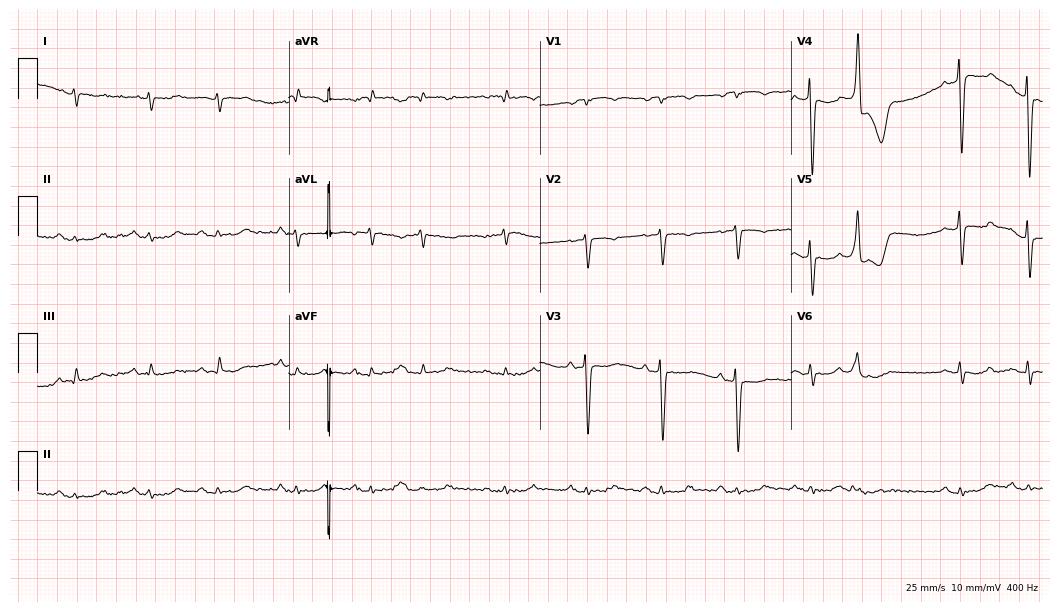
Resting 12-lead electrocardiogram. Patient: a female, 82 years old. None of these six findings is recorded: first-degree AV block, right bundle branch block (RBBB), left bundle branch block (LBBB), sinus bradycardia, atrial fibrillation (AF), sinus tachycardia. Findings outside these six are not listed.